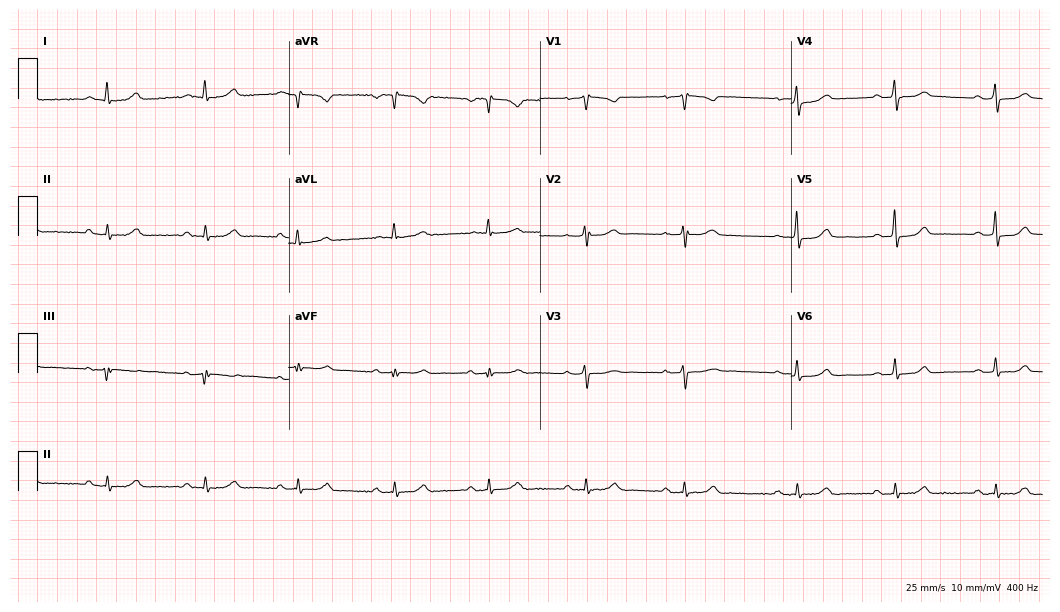
12-lead ECG from a female, 50 years old (10.2-second recording at 400 Hz). No first-degree AV block, right bundle branch block, left bundle branch block, sinus bradycardia, atrial fibrillation or sinus tachycardia recorded for this tracing. Only these six findings were labelled.